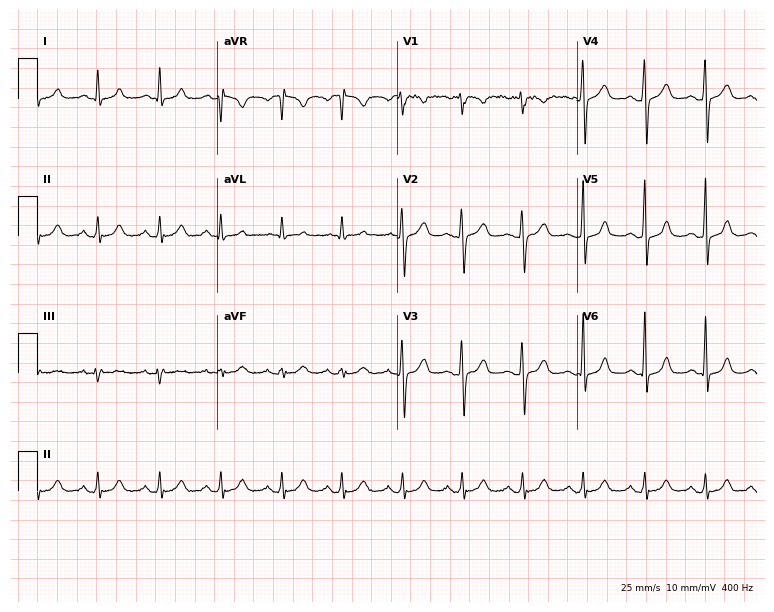
ECG — a female patient, 34 years old. Labelled as a normal ECG.